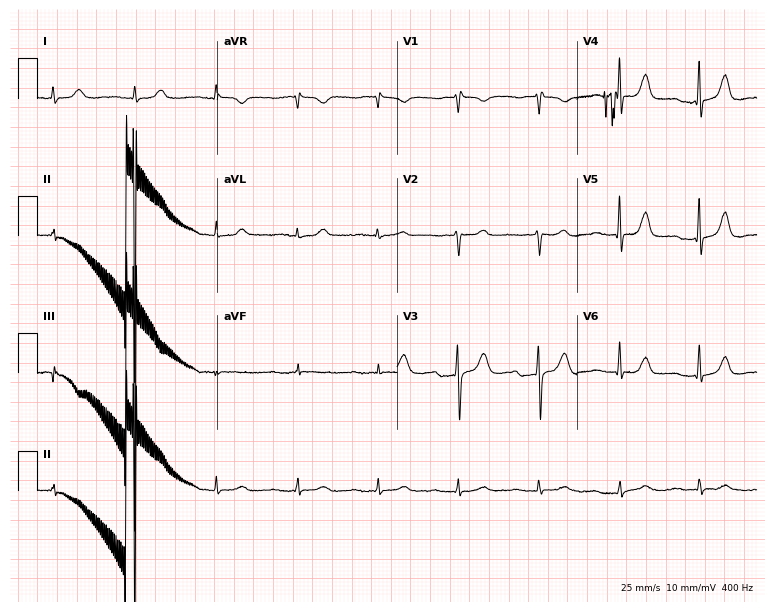
ECG (7.3-second recording at 400 Hz) — an 82-year-old woman. Screened for six findings — first-degree AV block, right bundle branch block, left bundle branch block, sinus bradycardia, atrial fibrillation, sinus tachycardia — none is recorded.